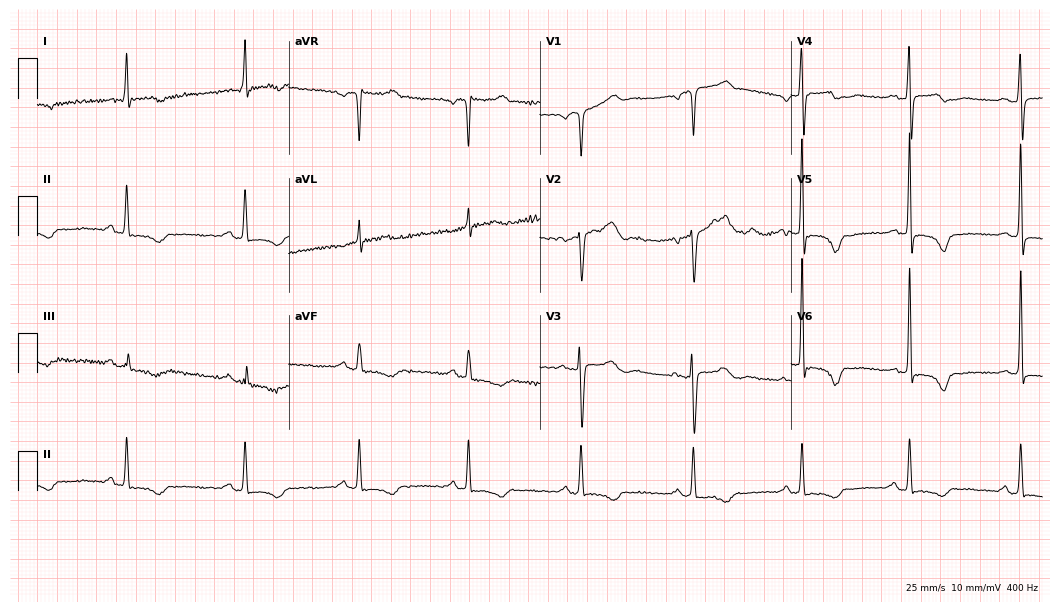
Electrocardiogram (10.2-second recording at 400 Hz), a female, 74 years old. Of the six screened findings (first-degree AV block, right bundle branch block, left bundle branch block, sinus bradycardia, atrial fibrillation, sinus tachycardia), none is recorded. Findings outside these six are not listed.